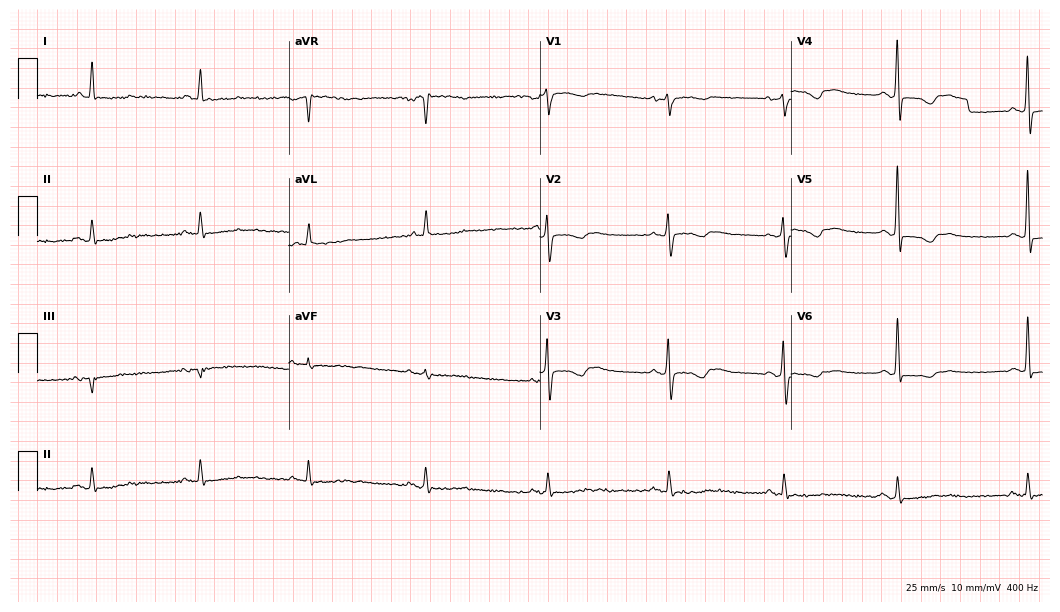
Electrocardiogram (10.2-second recording at 400 Hz), a 79-year-old female. Of the six screened findings (first-degree AV block, right bundle branch block, left bundle branch block, sinus bradycardia, atrial fibrillation, sinus tachycardia), none is recorded. Findings outside these six are not listed.